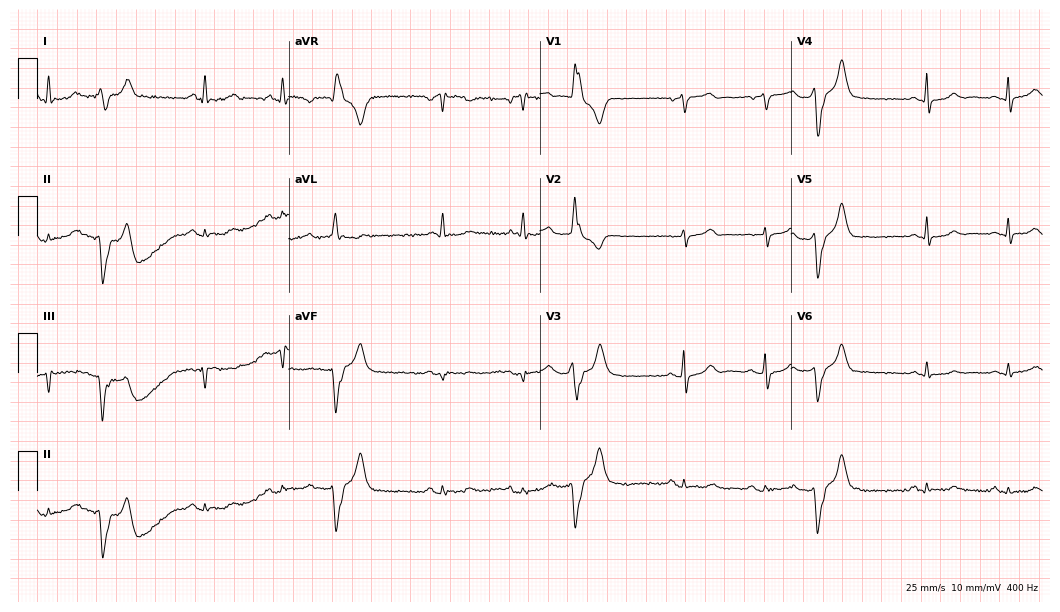
12-lead ECG from a woman, 66 years old (10.2-second recording at 400 Hz). No first-degree AV block, right bundle branch block (RBBB), left bundle branch block (LBBB), sinus bradycardia, atrial fibrillation (AF) or sinus tachycardia recorded for this tracing.